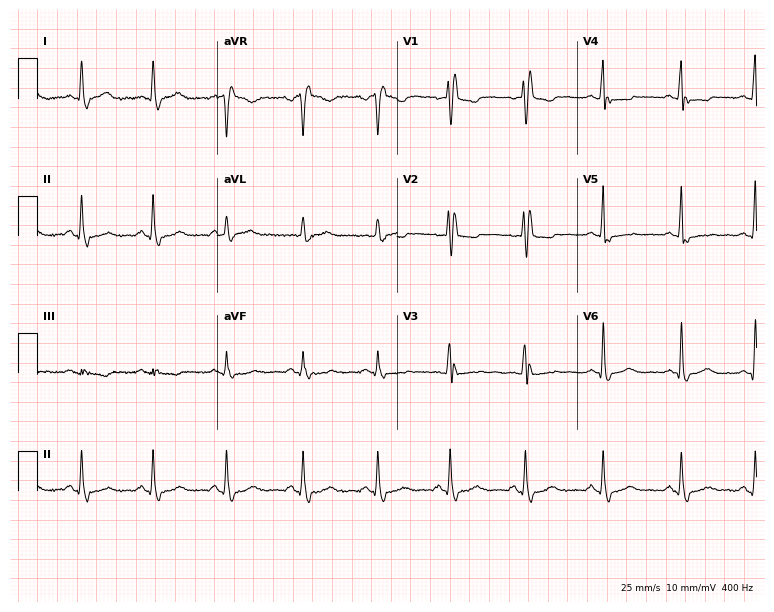
ECG — a woman, 37 years old. Findings include right bundle branch block.